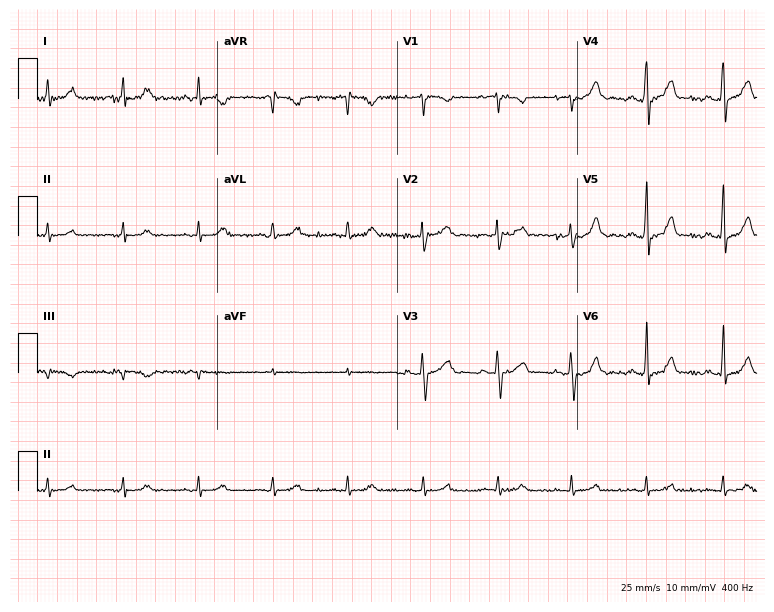
Standard 12-lead ECG recorded from a 44-year-old female patient. Read as a normal ECG.